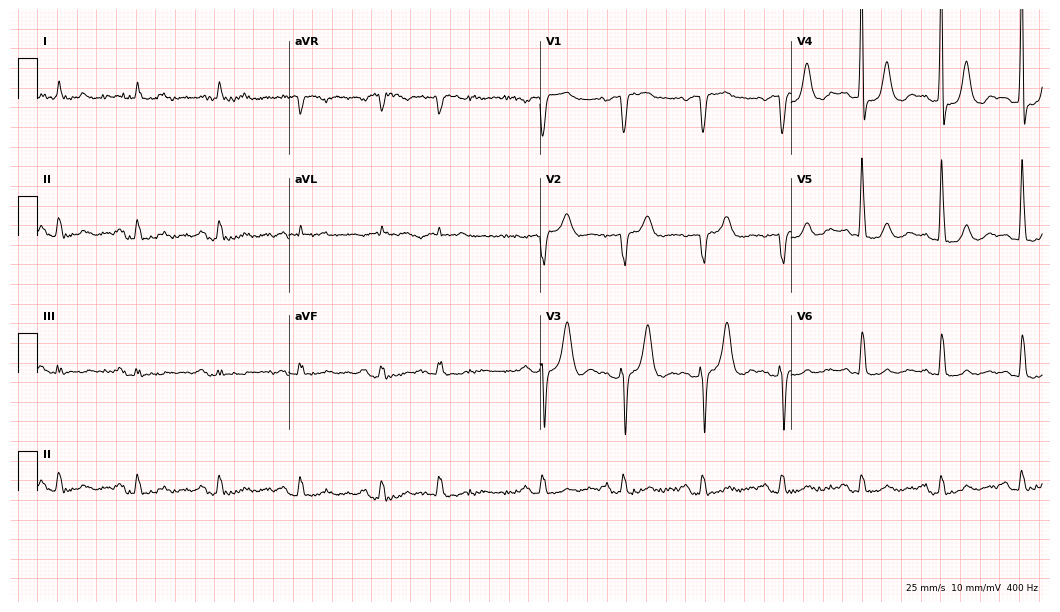
12-lead ECG from an 80-year-old male (10.2-second recording at 400 Hz). No first-degree AV block, right bundle branch block (RBBB), left bundle branch block (LBBB), sinus bradycardia, atrial fibrillation (AF) or sinus tachycardia recorded for this tracing. Other findings, if any, are not listed.